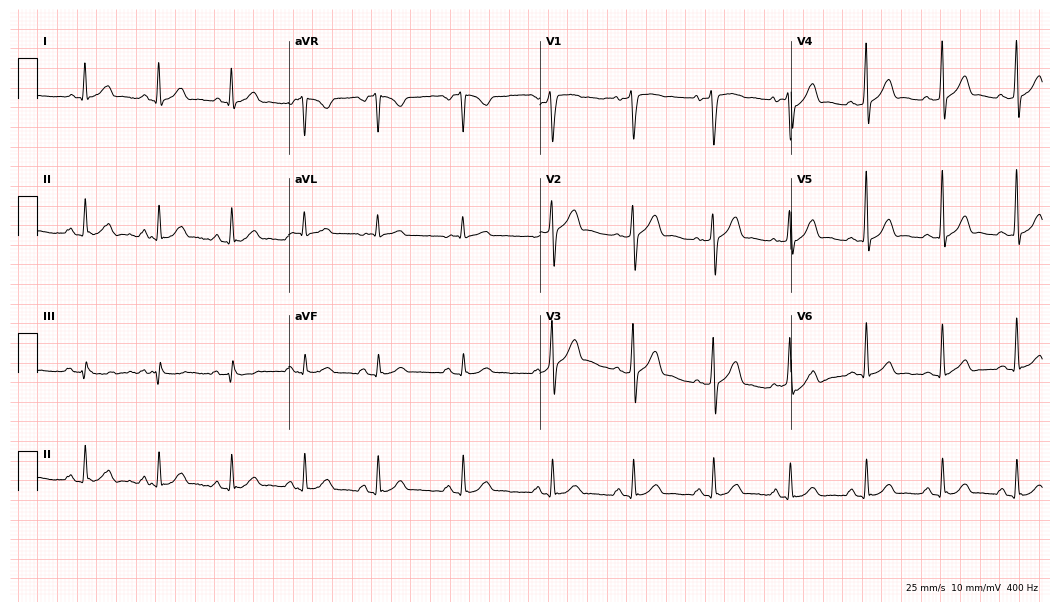
Resting 12-lead electrocardiogram. Patient: a man, 36 years old. Read as a normal ECG.